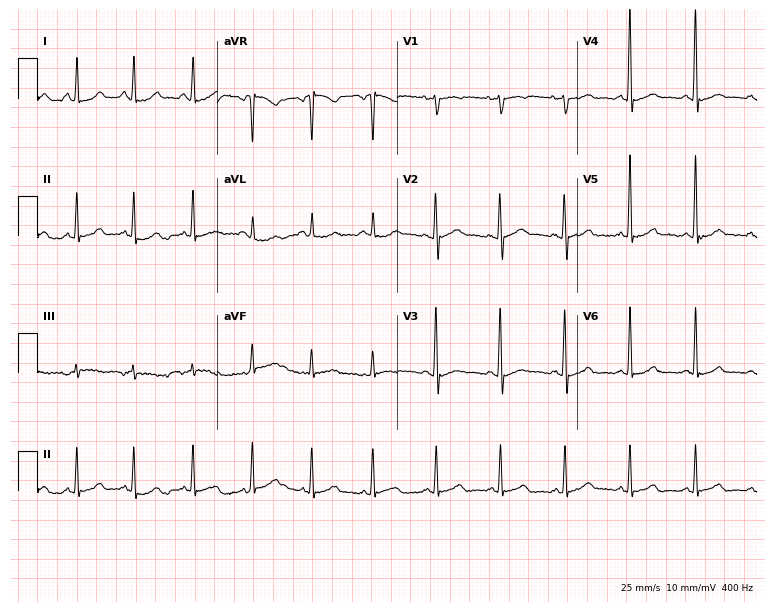
Standard 12-lead ECG recorded from a female patient, 70 years old. None of these six findings is recorded: first-degree AV block, right bundle branch block, left bundle branch block, sinus bradycardia, atrial fibrillation, sinus tachycardia. Only these six findings were labelled.